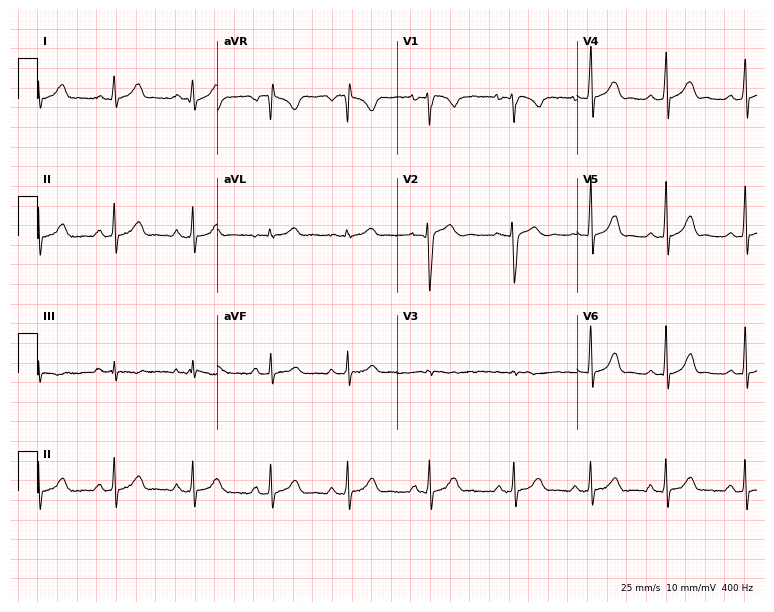
ECG — a woman, 26 years old. Labelled as a normal ECG.